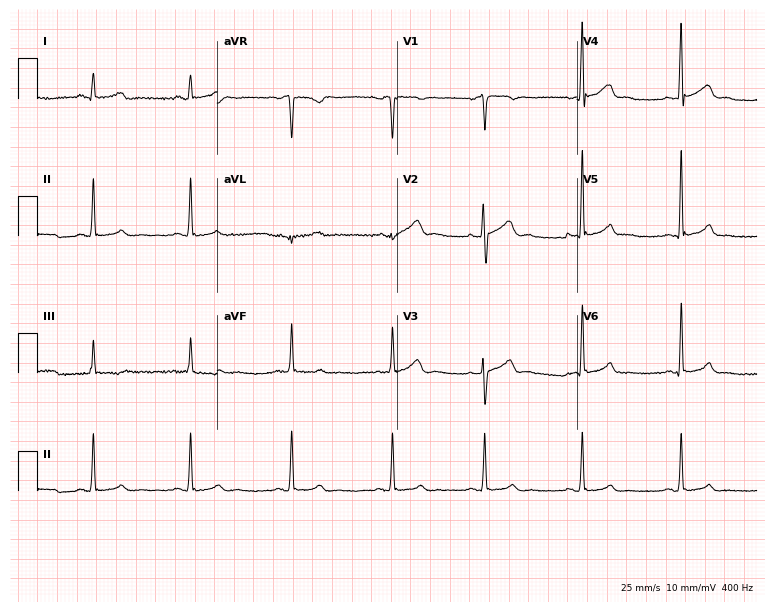
12-lead ECG from a 31-year-old male (7.3-second recording at 400 Hz). Recorded interpretation: within normal limits.